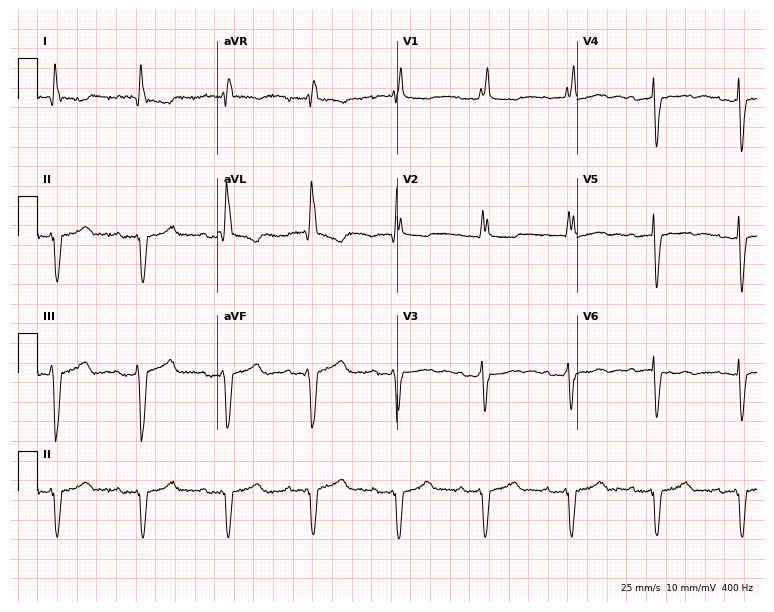
12-lead ECG from a female patient, 74 years old. Shows first-degree AV block, right bundle branch block.